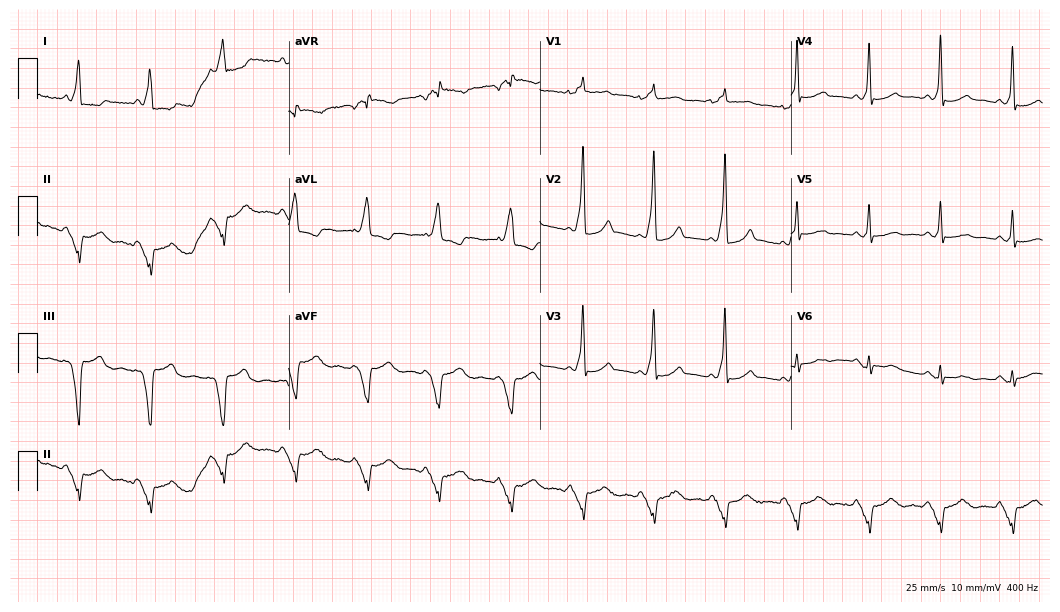
Resting 12-lead electrocardiogram (10.2-second recording at 400 Hz). Patient: a 43-year-old woman. None of these six findings is recorded: first-degree AV block, right bundle branch block, left bundle branch block, sinus bradycardia, atrial fibrillation, sinus tachycardia. Findings outside these six are not listed.